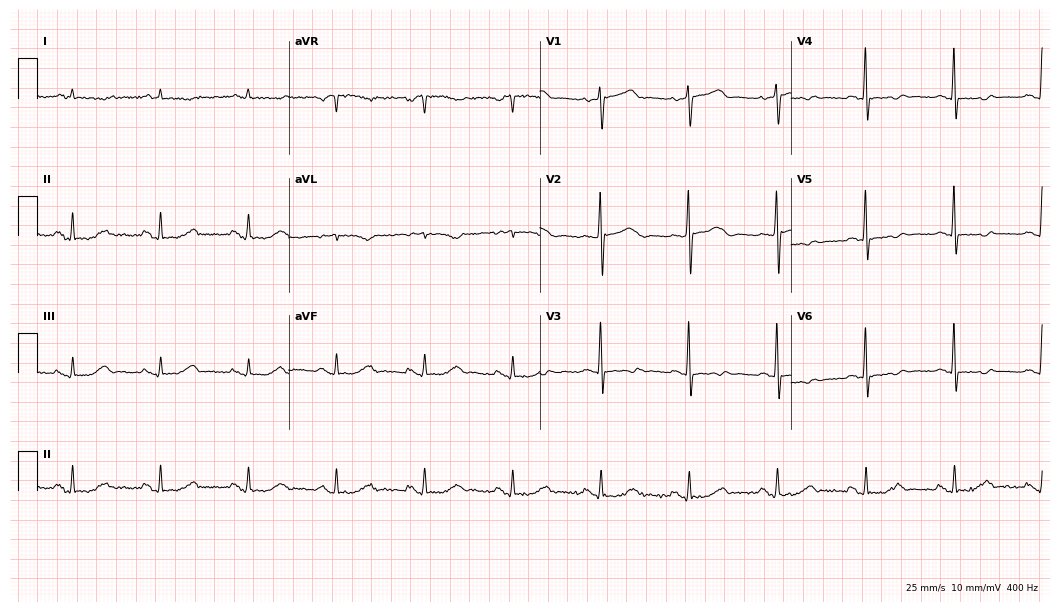
Electrocardiogram, a man, 84 years old. Of the six screened findings (first-degree AV block, right bundle branch block (RBBB), left bundle branch block (LBBB), sinus bradycardia, atrial fibrillation (AF), sinus tachycardia), none is recorded. Only these six findings were labelled.